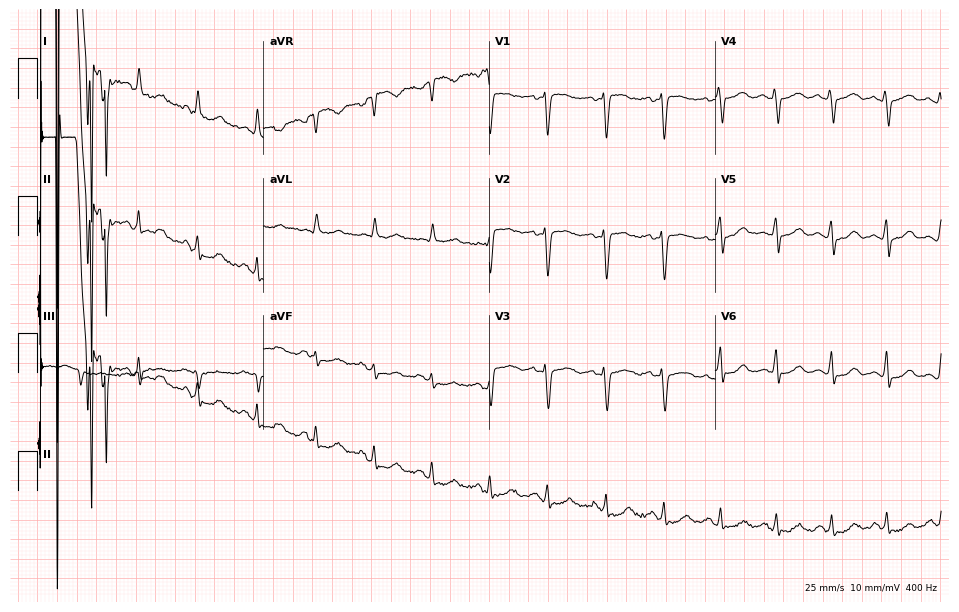
Resting 12-lead electrocardiogram. Patient: a female, 43 years old. None of these six findings is recorded: first-degree AV block, right bundle branch block, left bundle branch block, sinus bradycardia, atrial fibrillation, sinus tachycardia. Other findings, if any, are not listed.